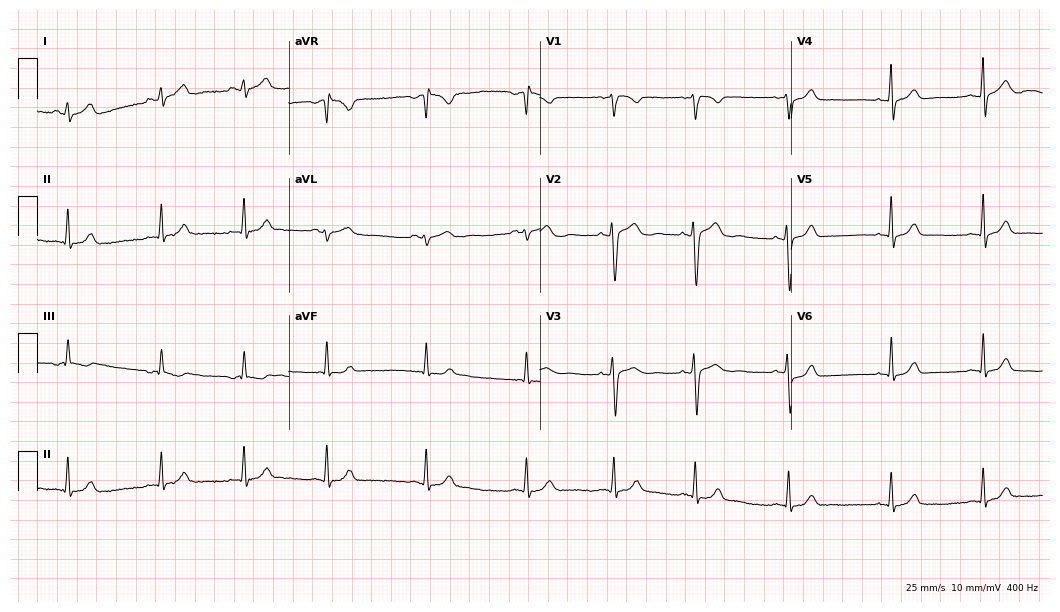
ECG — a 21-year-old female. Labelled as a normal ECG.